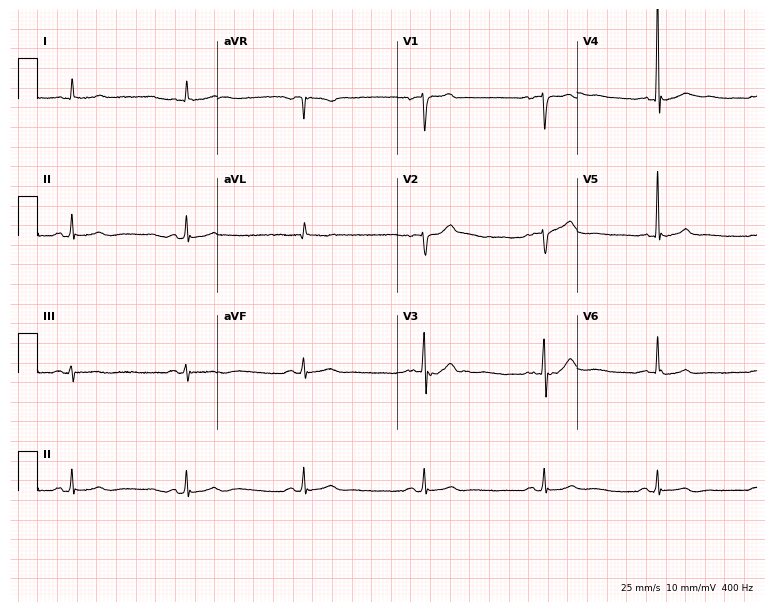
Standard 12-lead ECG recorded from a 69-year-old man. None of these six findings is recorded: first-degree AV block, right bundle branch block, left bundle branch block, sinus bradycardia, atrial fibrillation, sinus tachycardia.